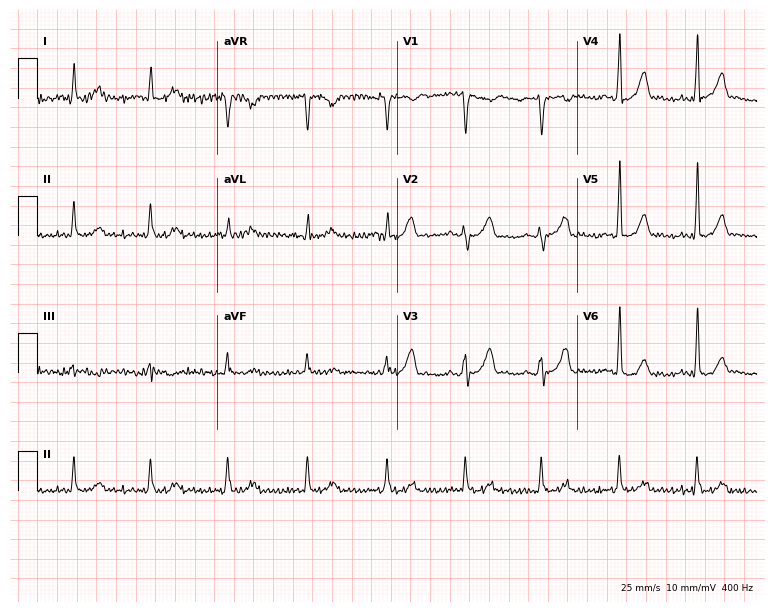
ECG — a male, 58 years old. Screened for six findings — first-degree AV block, right bundle branch block (RBBB), left bundle branch block (LBBB), sinus bradycardia, atrial fibrillation (AF), sinus tachycardia — none is recorded. Findings outside these six are not listed.